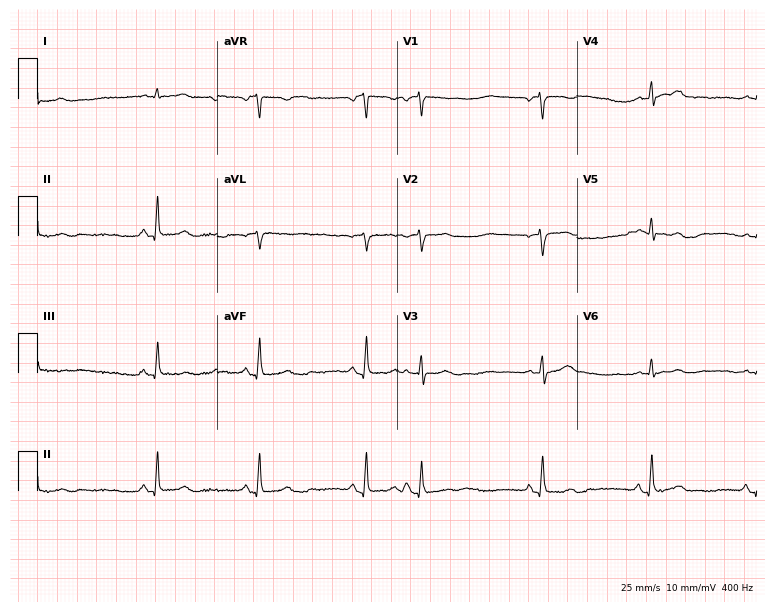
ECG — a woman, 41 years old. Screened for six findings — first-degree AV block, right bundle branch block, left bundle branch block, sinus bradycardia, atrial fibrillation, sinus tachycardia — none is recorded. Only these six findings were labelled.